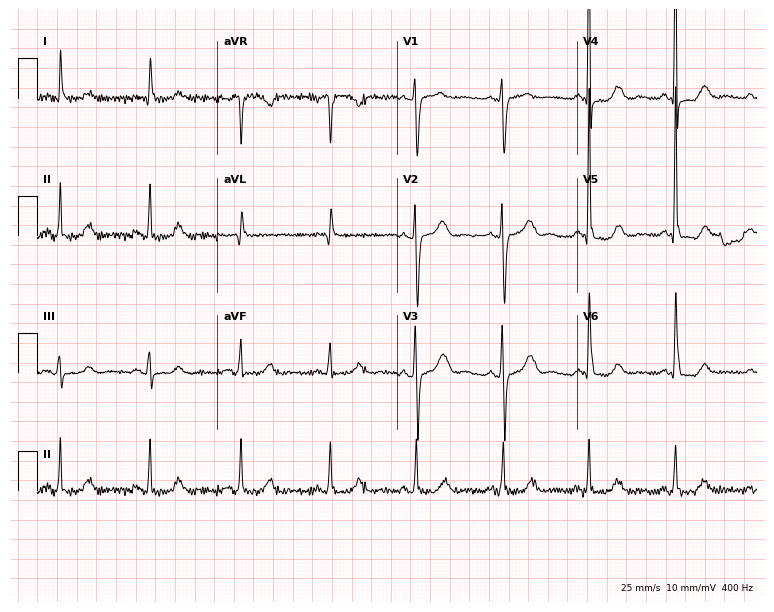
12-lead ECG from a female patient, 66 years old. Screened for six findings — first-degree AV block, right bundle branch block (RBBB), left bundle branch block (LBBB), sinus bradycardia, atrial fibrillation (AF), sinus tachycardia — none is recorded.